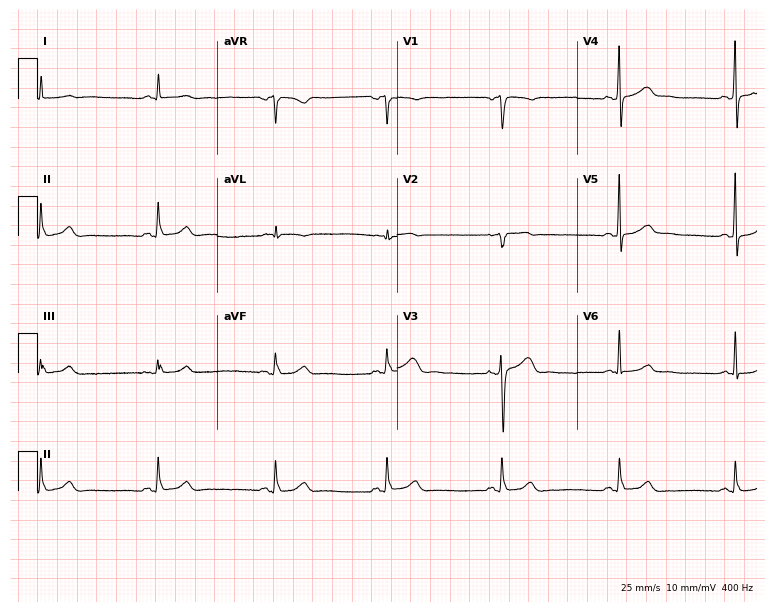
Resting 12-lead electrocardiogram. Patient: a man, 55 years old. Read as a normal ECG.